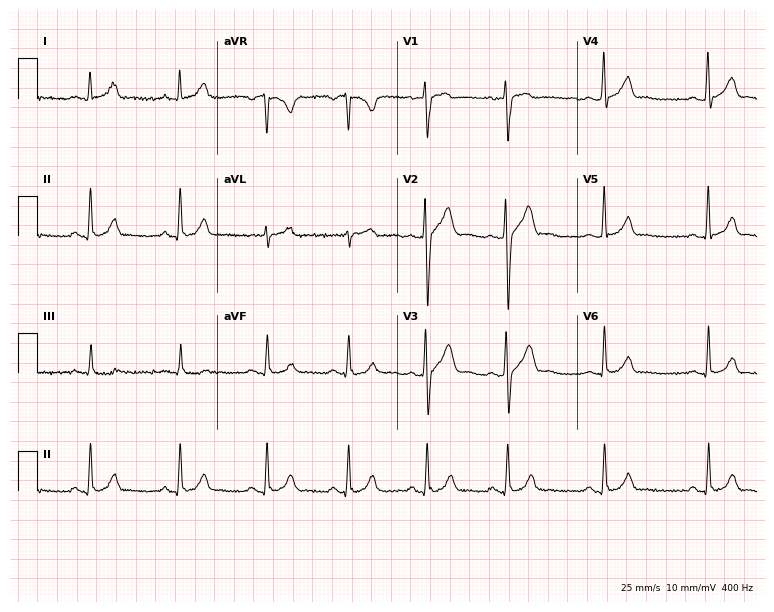
Electrocardiogram (7.3-second recording at 400 Hz), a 26-year-old male patient. Of the six screened findings (first-degree AV block, right bundle branch block (RBBB), left bundle branch block (LBBB), sinus bradycardia, atrial fibrillation (AF), sinus tachycardia), none is recorded.